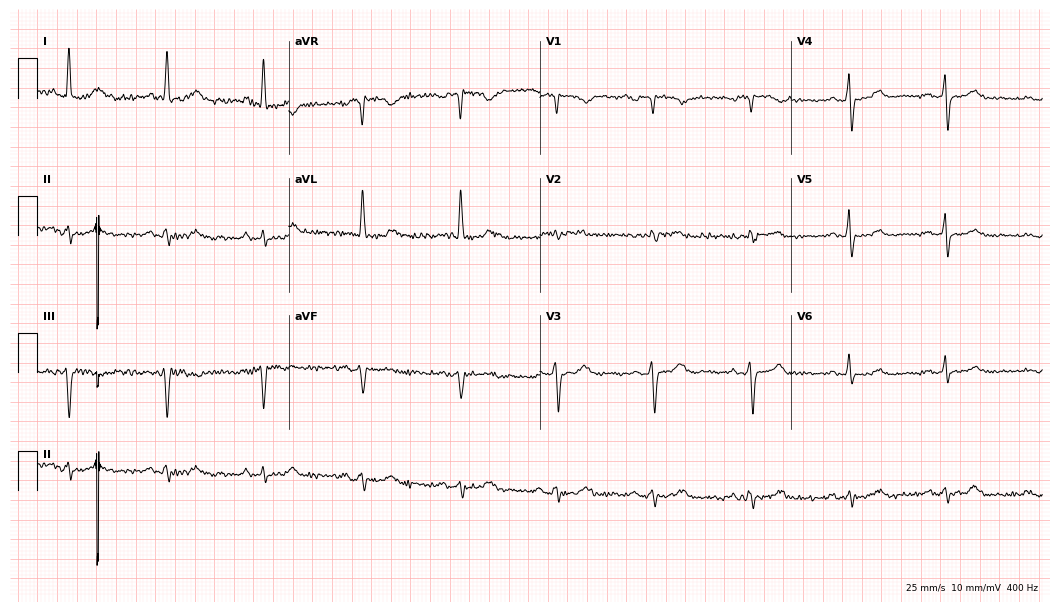
Standard 12-lead ECG recorded from a male, 78 years old (10.2-second recording at 400 Hz). None of these six findings is recorded: first-degree AV block, right bundle branch block (RBBB), left bundle branch block (LBBB), sinus bradycardia, atrial fibrillation (AF), sinus tachycardia. Only these six findings were labelled.